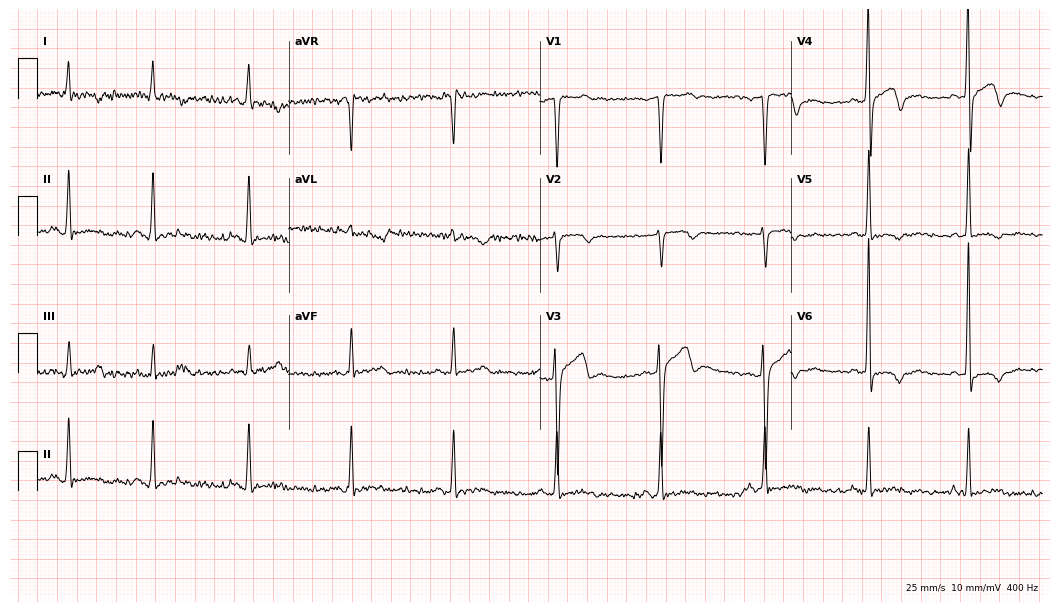
ECG (10.2-second recording at 400 Hz) — a male patient, 49 years old. Screened for six findings — first-degree AV block, right bundle branch block, left bundle branch block, sinus bradycardia, atrial fibrillation, sinus tachycardia — none is recorded. Only these six findings were labelled.